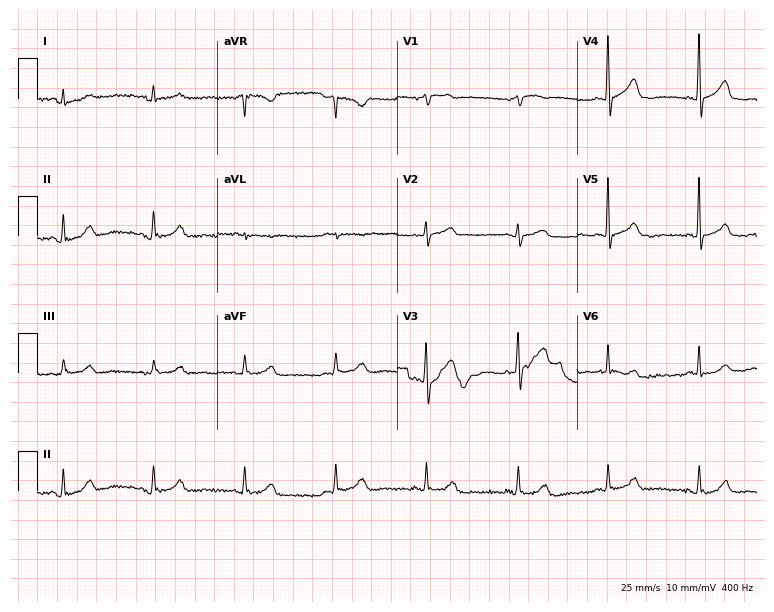
12-lead ECG from a 78-year-old woman (7.3-second recording at 400 Hz). Recorded interpretation: within normal limits.